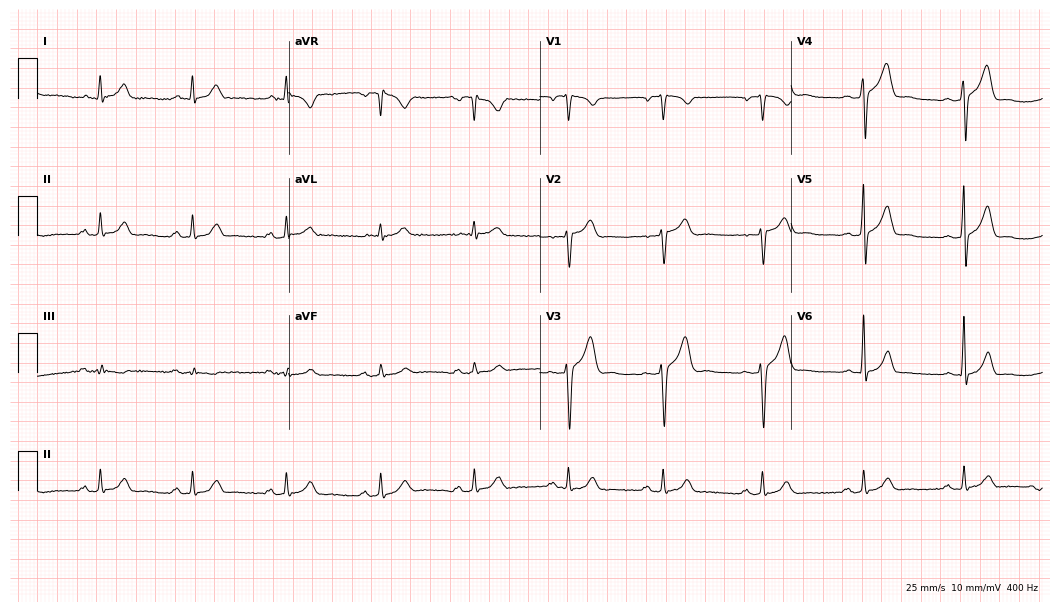
Standard 12-lead ECG recorded from a male, 45 years old. Read as a normal ECG.